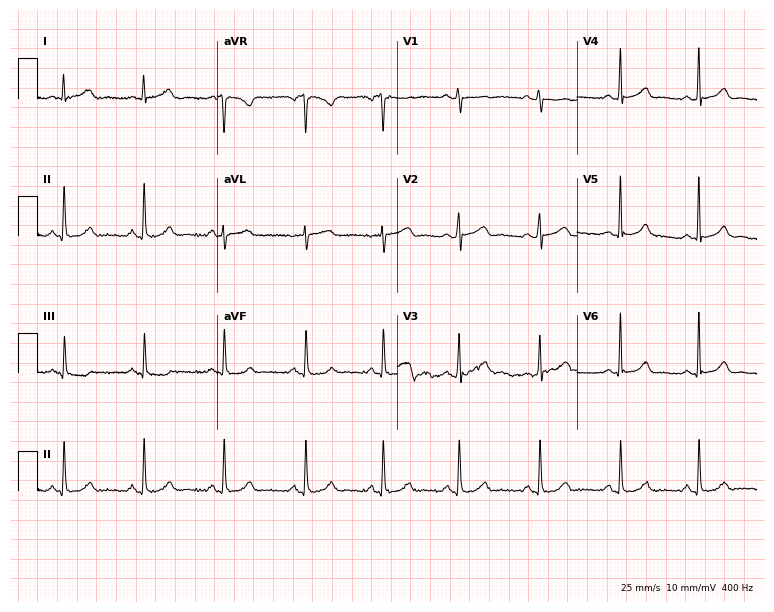
Standard 12-lead ECG recorded from a 38-year-old woman. Read as a normal ECG.